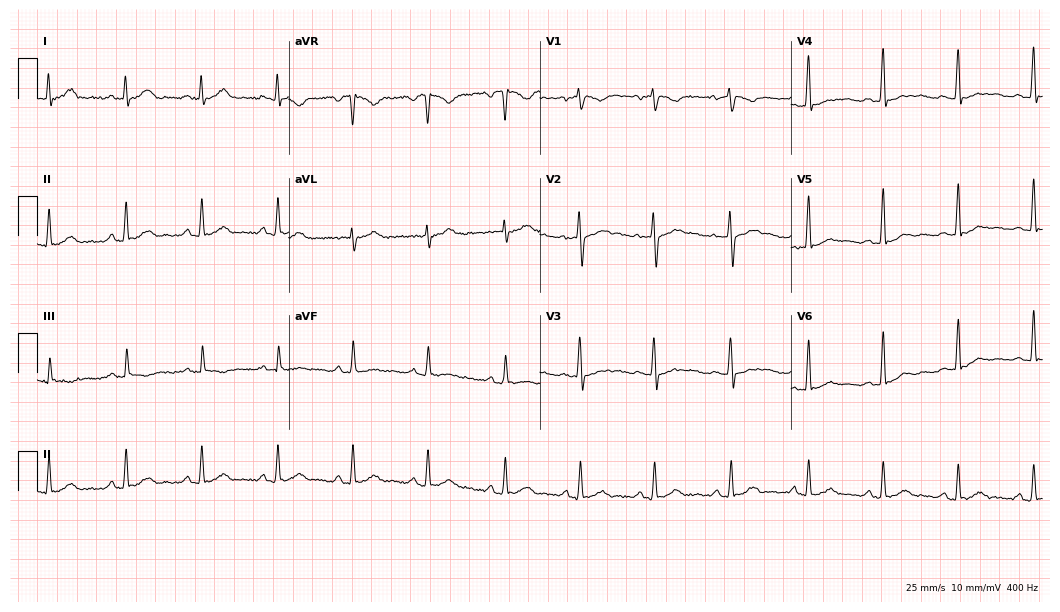
ECG — a 31-year-old man. Labelled as a normal ECG.